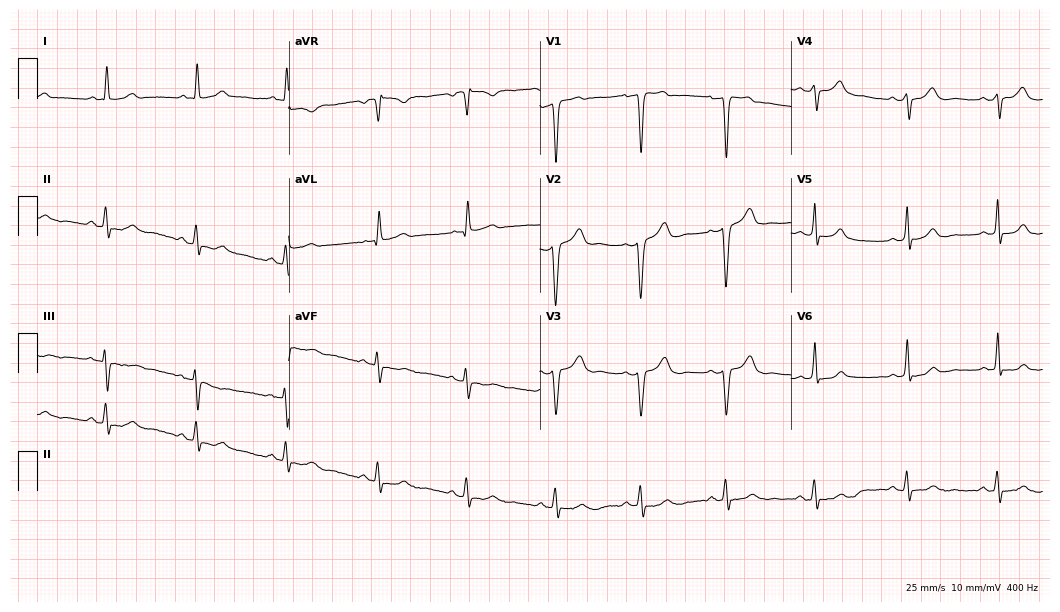
12-lead ECG (10.2-second recording at 400 Hz) from a woman, 55 years old. Screened for six findings — first-degree AV block, right bundle branch block, left bundle branch block, sinus bradycardia, atrial fibrillation, sinus tachycardia — none is recorded.